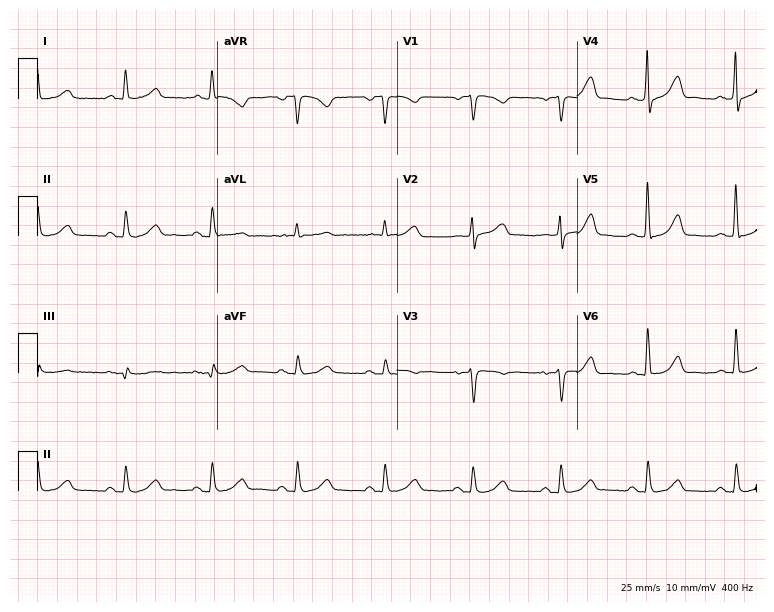
Electrocardiogram (7.3-second recording at 400 Hz), a female, 59 years old. Of the six screened findings (first-degree AV block, right bundle branch block, left bundle branch block, sinus bradycardia, atrial fibrillation, sinus tachycardia), none is recorded. Only these six findings were labelled.